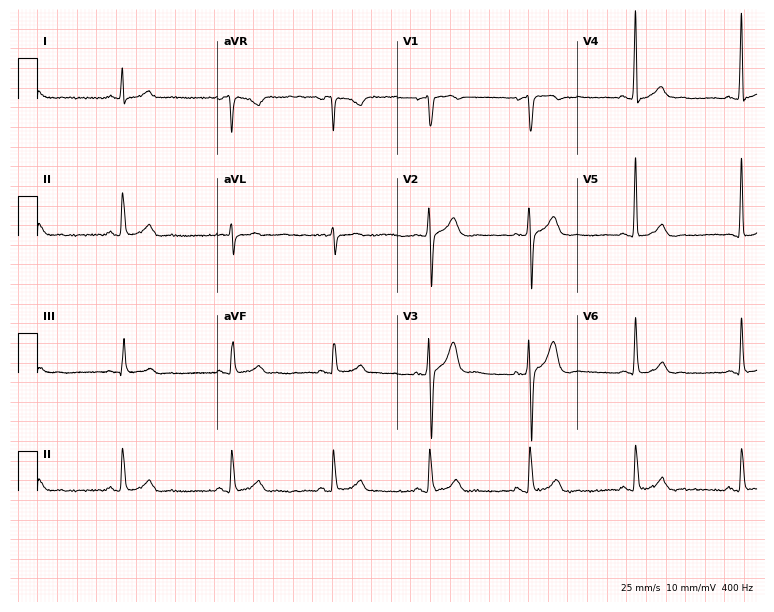
ECG (7.3-second recording at 400 Hz) — a 33-year-old male patient. Screened for six findings — first-degree AV block, right bundle branch block, left bundle branch block, sinus bradycardia, atrial fibrillation, sinus tachycardia — none is recorded. Other findings, if any, are not listed.